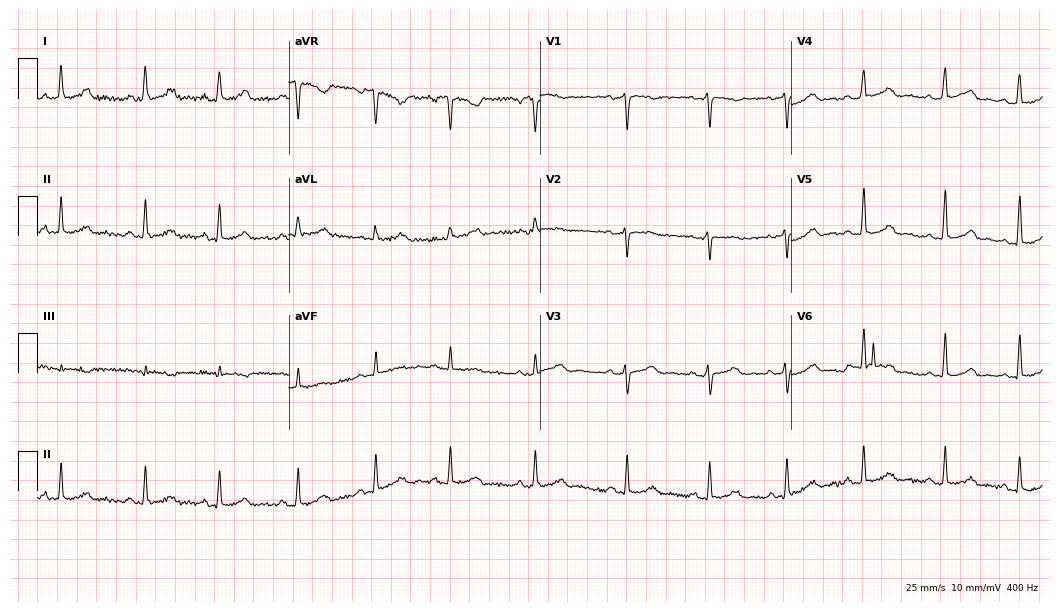
Standard 12-lead ECG recorded from a woman, 21 years old. Read as a normal ECG.